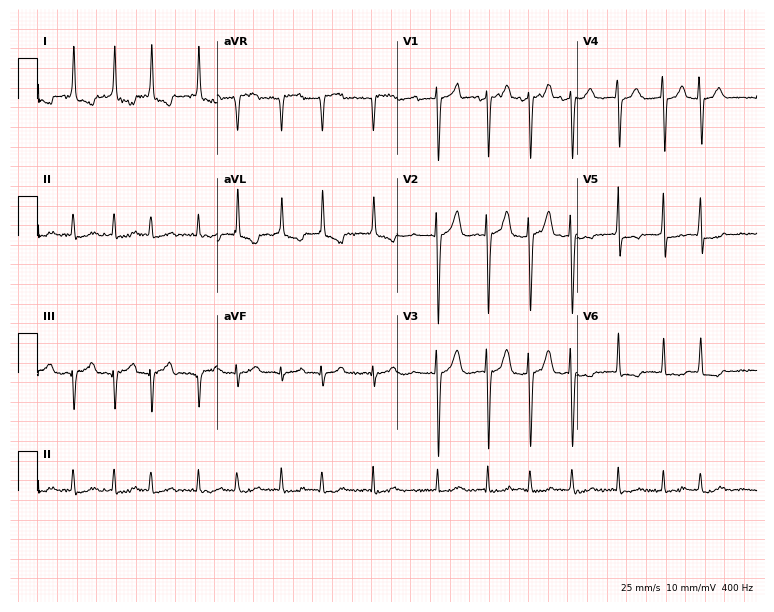
Resting 12-lead electrocardiogram (7.3-second recording at 400 Hz). Patient: a female, 83 years old. The tracing shows atrial fibrillation.